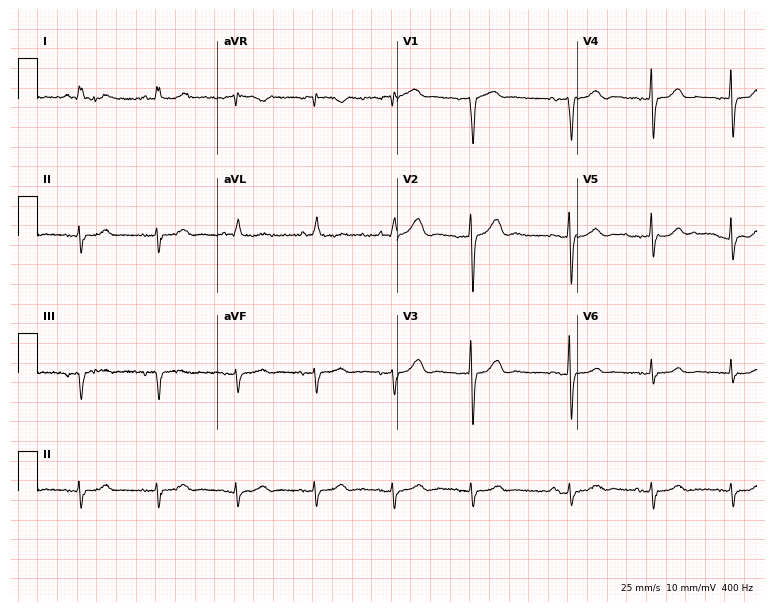
ECG — an 81-year-old female patient. Labelled as a normal ECG.